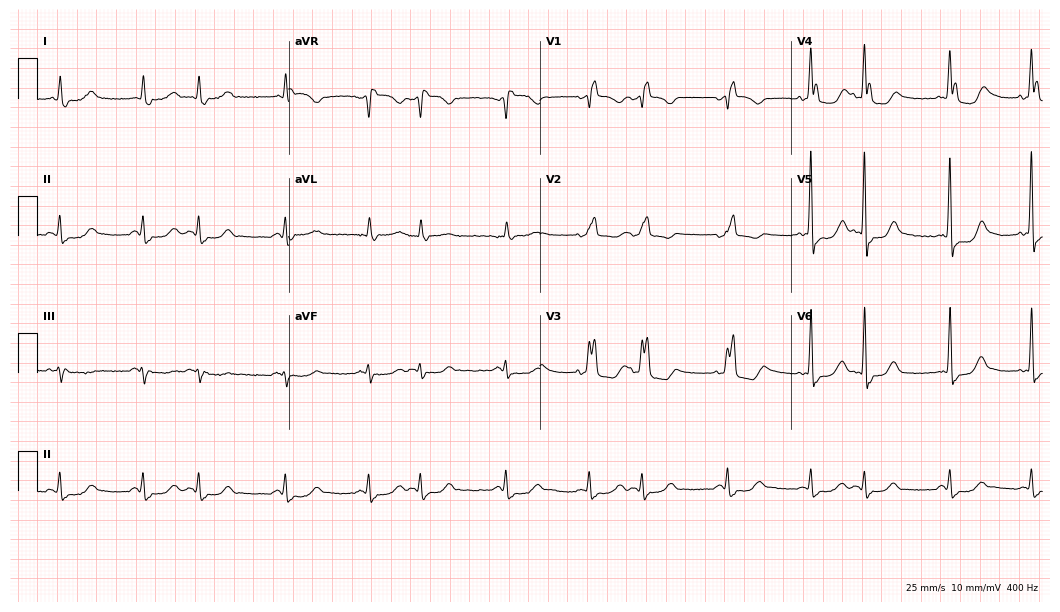
Resting 12-lead electrocardiogram (10.2-second recording at 400 Hz). Patient: a male, 83 years old. The tracing shows right bundle branch block.